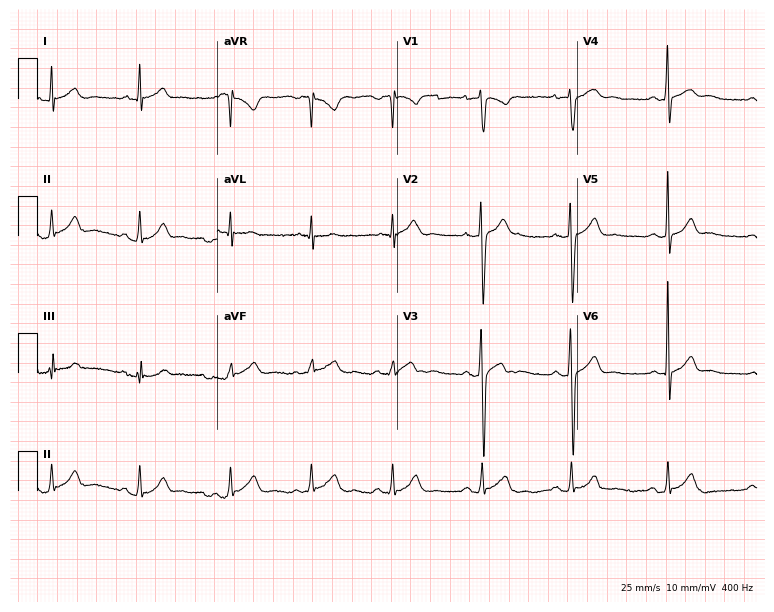
ECG (7.3-second recording at 400 Hz) — a 17-year-old male patient. Labelled as a normal ECG.